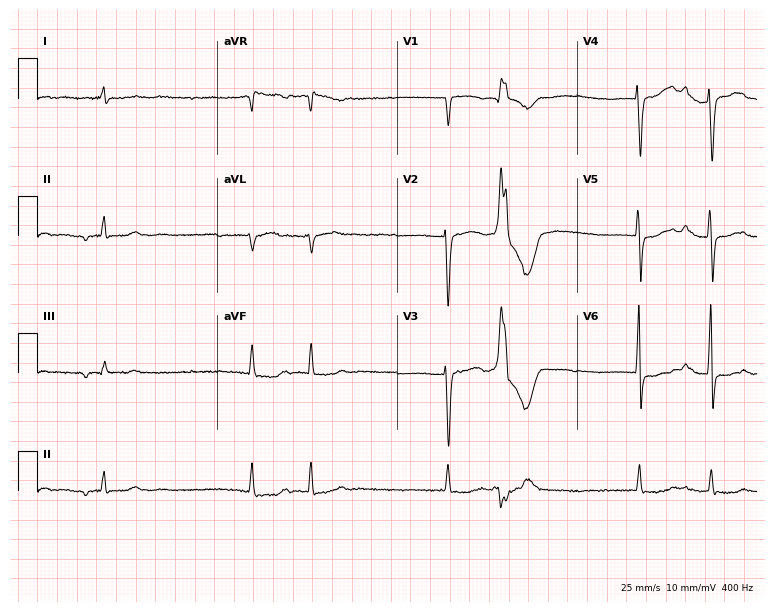
ECG — a 79-year-old female. Findings include atrial fibrillation.